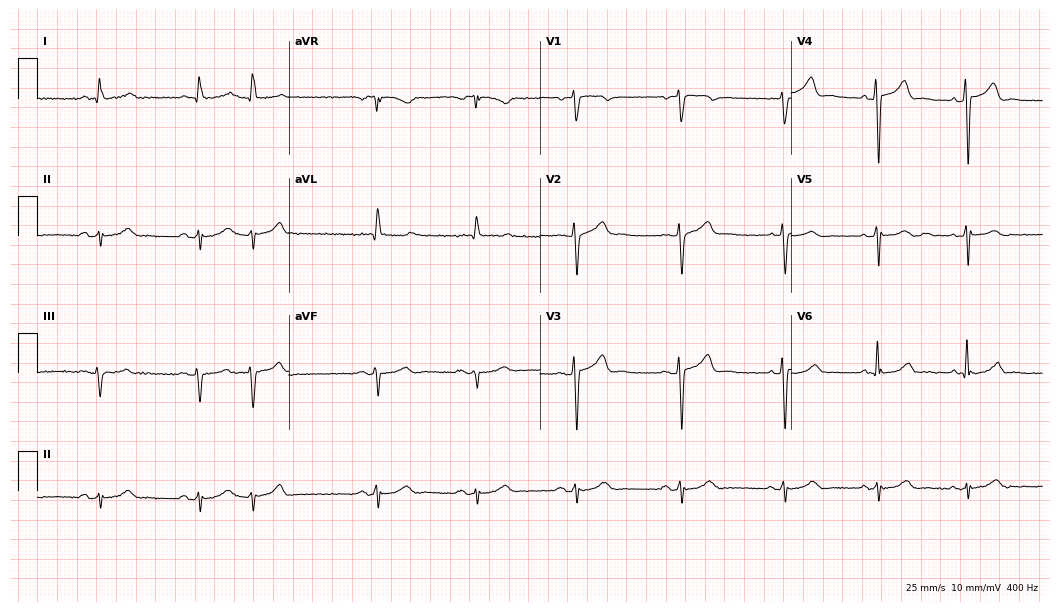
Standard 12-lead ECG recorded from a male, 63 years old (10.2-second recording at 400 Hz). None of these six findings is recorded: first-degree AV block, right bundle branch block (RBBB), left bundle branch block (LBBB), sinus bradycardia, atrial fibrillation (AF), sinus tachycardia.